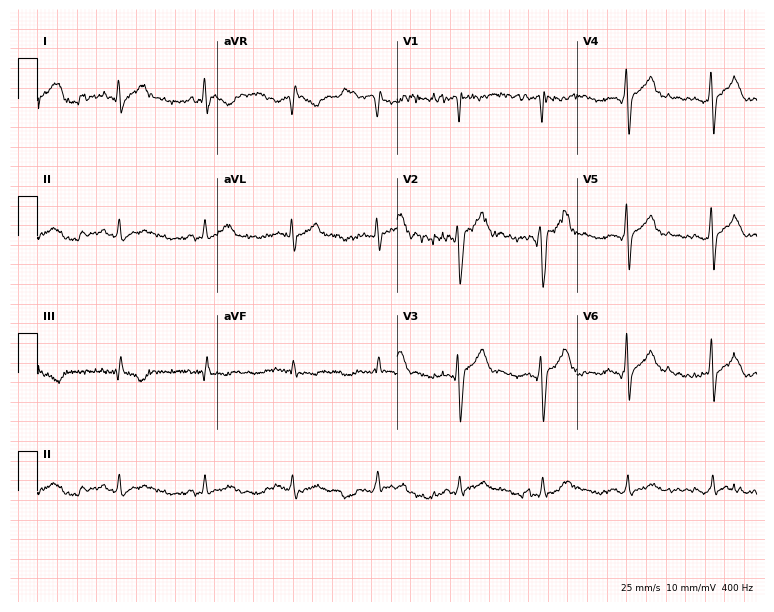
Standard 12-lead ECG recorded from a 36-year-old male patient (7.3-second recording at 400 Hz). None of these six findings is recorded: first-degree AV block, right bundle branch block (RBBB), left bundle branch block (LBBB), sinus bradycardia, atrial fibrillation (AF), sinus tachycardia.